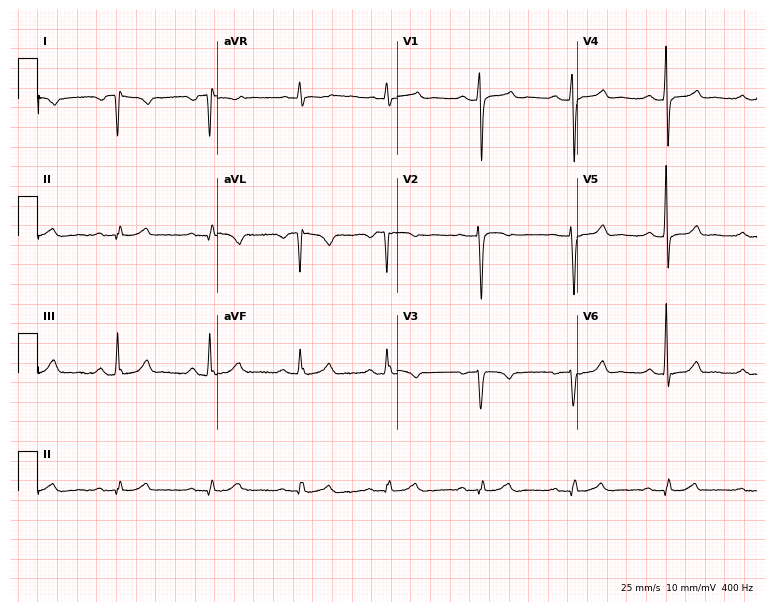
Electrocardiogram, a male, 55 years old. Of the six screened findings (first-degree AV block, right bundle branch block, left bundle branch block, sinus bradycardia, atrial fibrillation, sinus tachycardia), none is recorded.